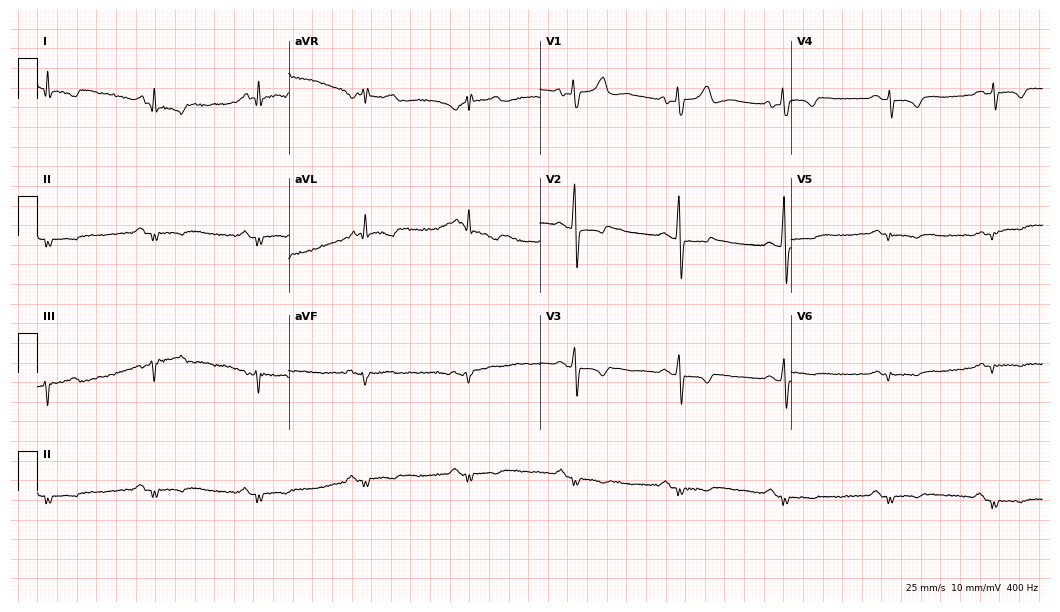
ECG (10.2-second recording at 400 Hz) — a 68-year-old male patient. Screened for six findings — first-degree AV block, right bundle branch block, left bundle branch block, sinus bradycardia, atrial fibrillation, sinus tachycardia — none is recorded. Only these six findings were labelled.